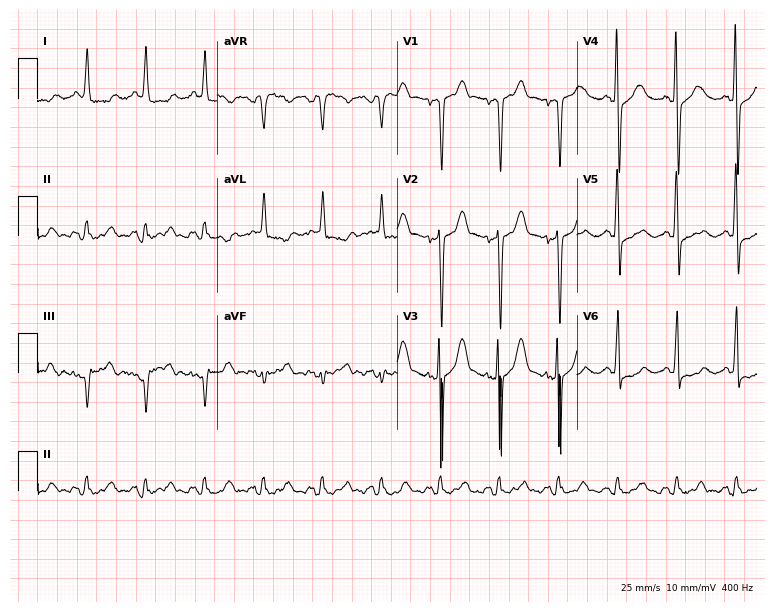
12-lead ECG (7.3-second recording at 400 Hz) from a 64-year-old male patient. Screened for six findings — first-degree AV block, right bundle branch block, left bundle branch block, sinus bradycardia, atrial fibrillation, sinus tachycardia — none is recorded.